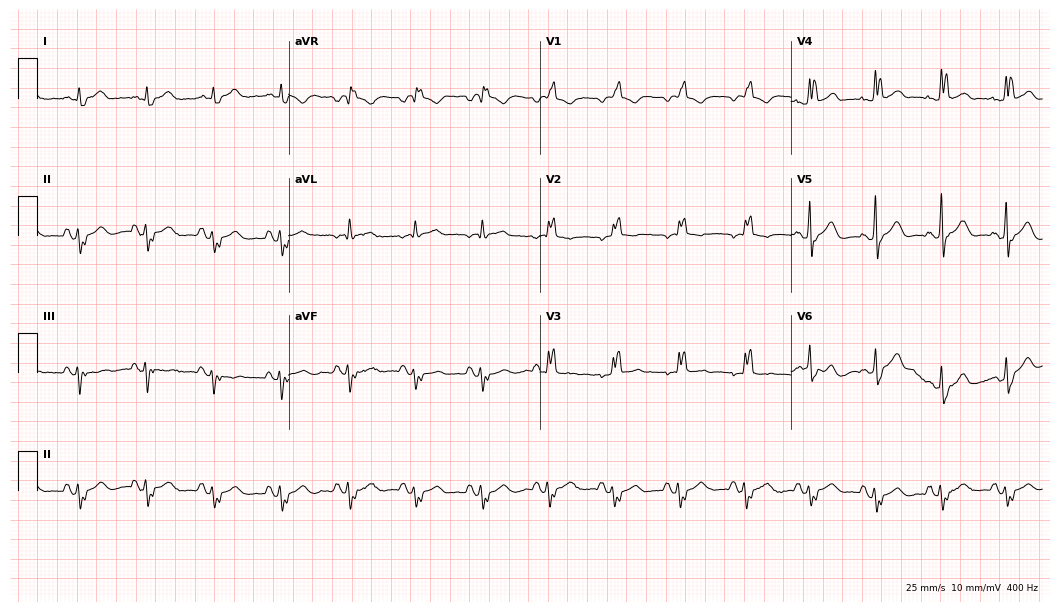
Electrocardiogram, a male patient, 82 years old. Interpretation includes right bundle branch block (RBBB).